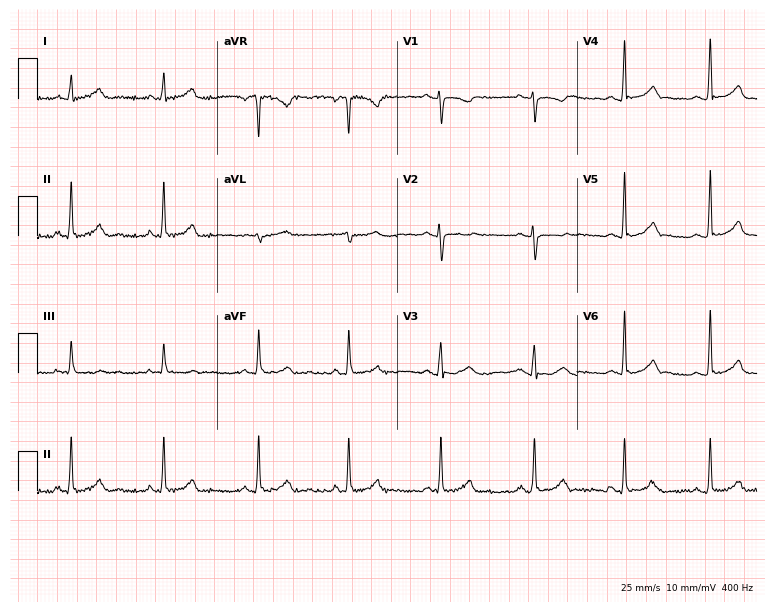
12-lead ECG from a female patient, 25 years old. Recorded interpretation: within normal limits.